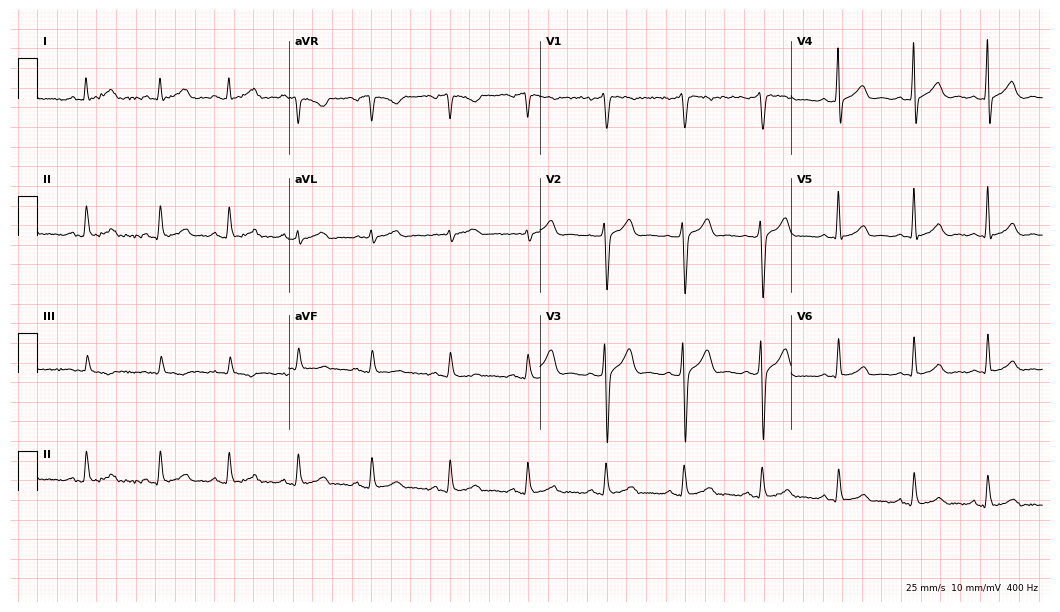
Resting 12-lead electrocardiogram. Patient: a 37-year-old male. Read as a normal ECG.